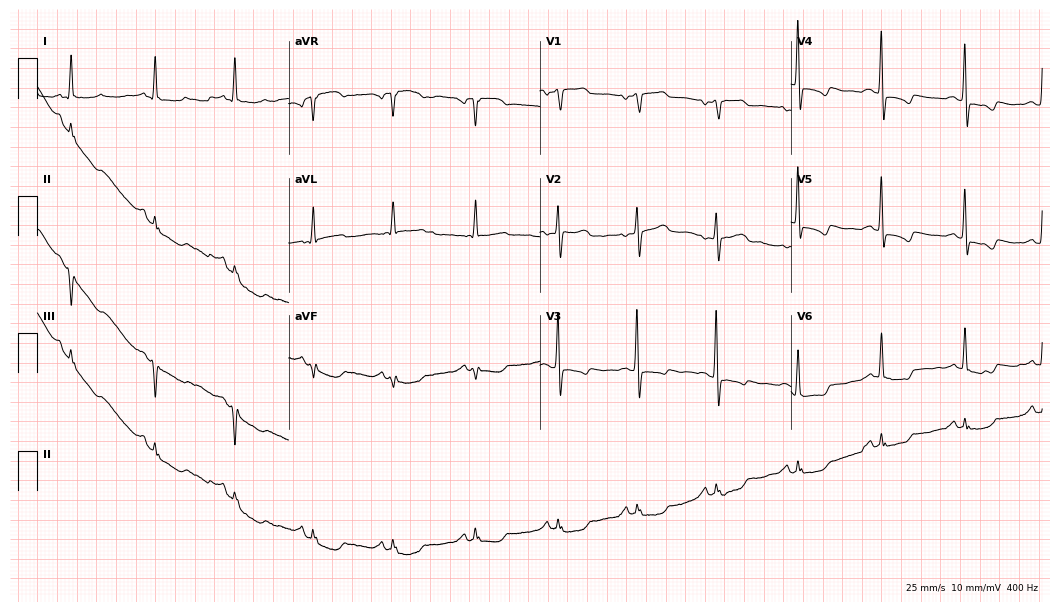
ECG (10.2-second recording at 400 Hz) — a female, 84 years old. Screened for six findings — first-degree AV block, right bundle branch block (RBBB), left bundle branch block (LBBB), sinus bradycardia, atrial fibrillation (AF), sinus tachycardia — none is recorded. Findings outside these six are not listed.